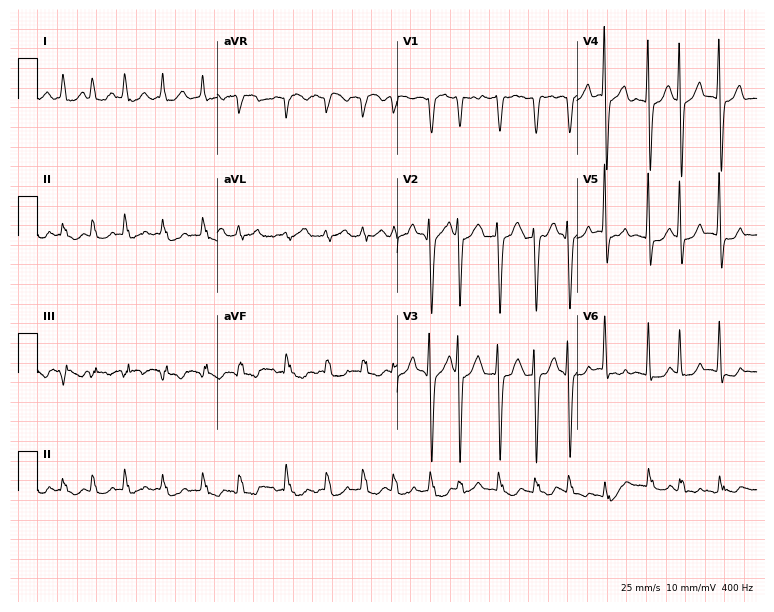
ECG — an 80-year-old woman. Findings include atrial fibrillation (AF).